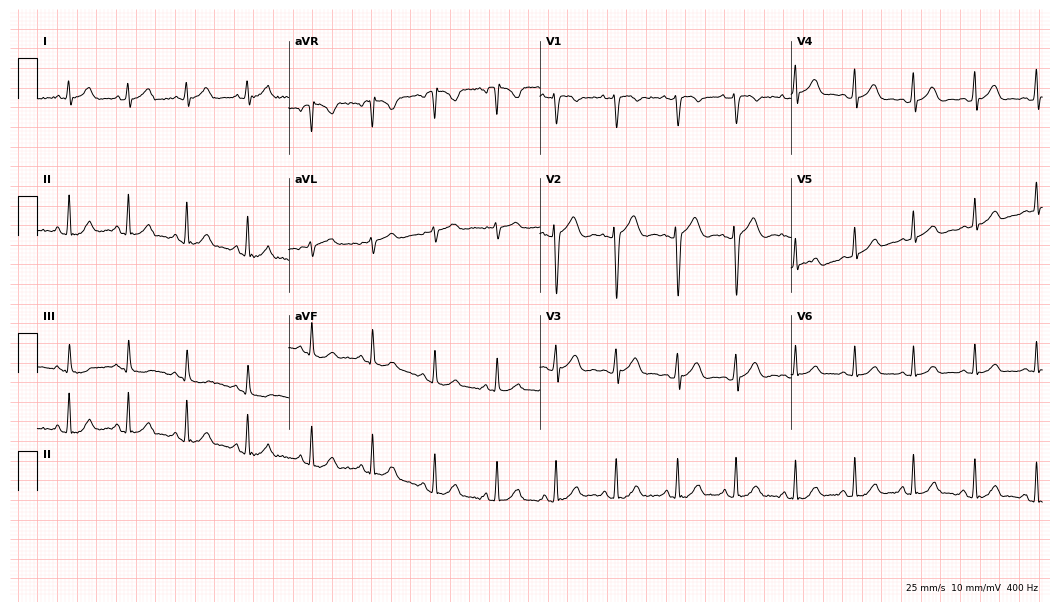
12-lead ECG from a 27-year-old female. Screened for six findings — first-degree AV block, right bundle branch block, left bundle branch block, sinus bradycardia, atrial fibrillation, sinus tachycardia — none is recorded.